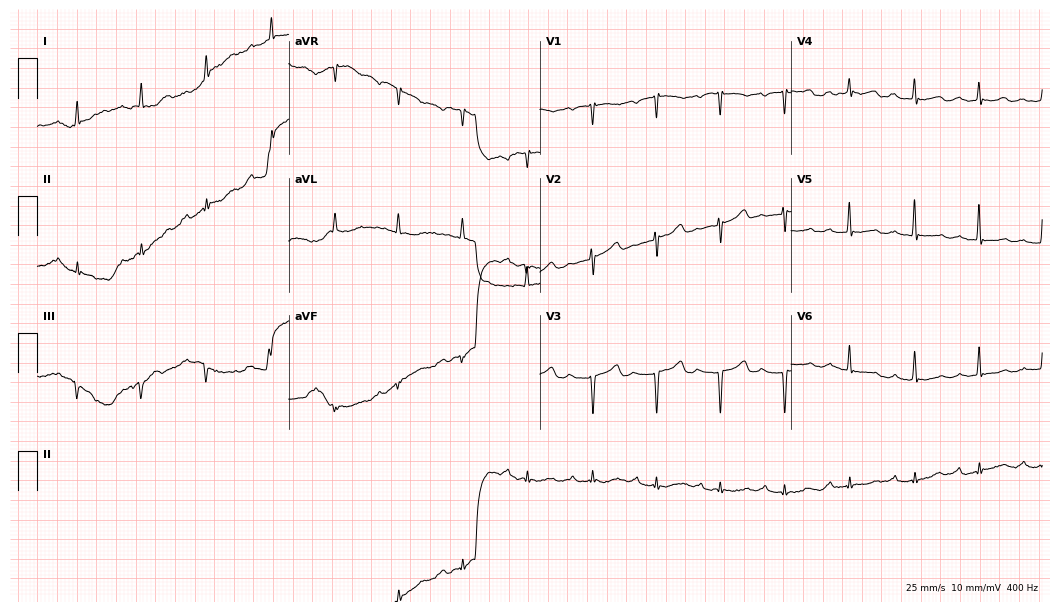
Electrocardiogram, a female, 63 years old. Interpretation includes first-degree AV block.